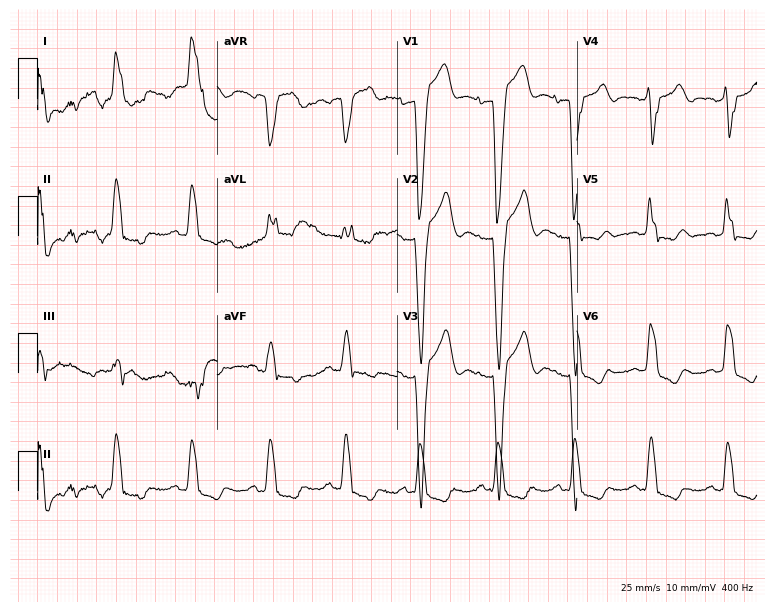
Resting 12-lead electrocardiogram (7.3-second recording at 400 Hz). Patient: a 63-year-old female. The tracing shows left bundle branch block (LBBB).